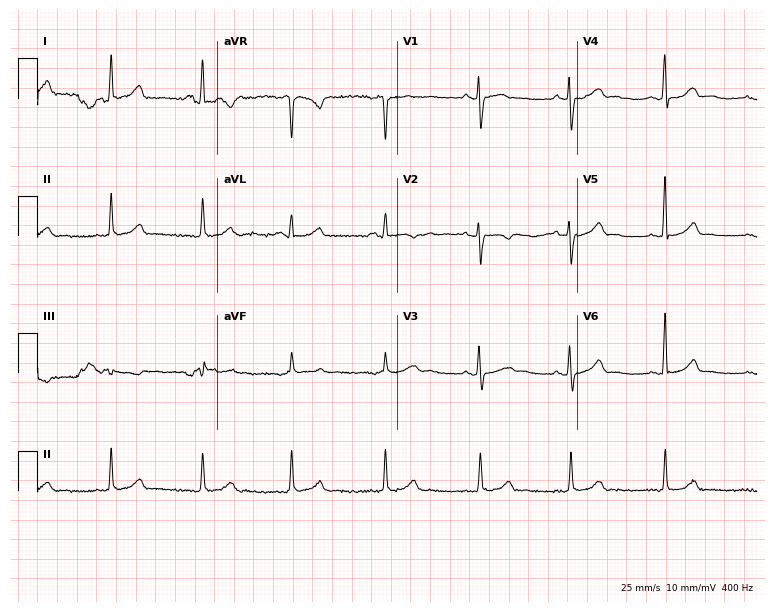
ECG — a female, 34 years old. Screened for six findings — first-degree AV block, right bundle branch block, left bundle branch block, sinus bradycardia, atrial fibrillation, sinus tachycardia — none is recorded.